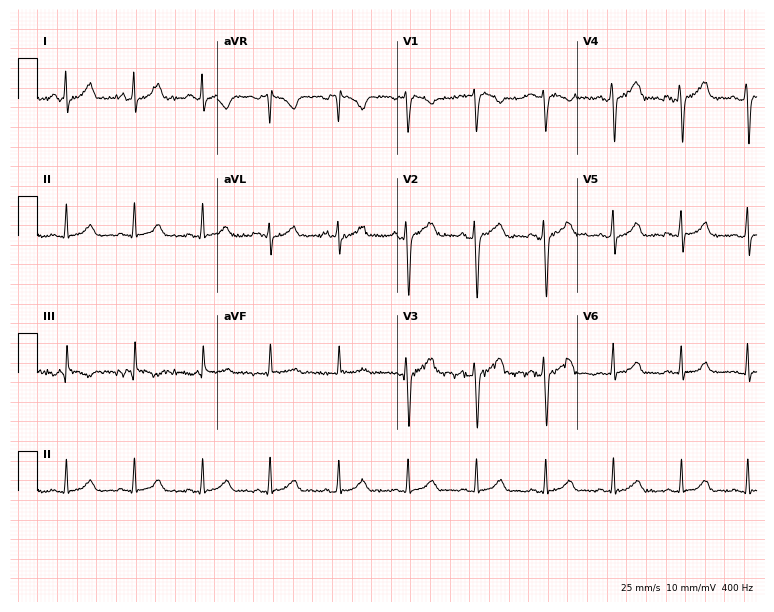
12-lead ECG (7.3-second recording at 400 Hz) from a 26-year-old female patient. Labelled as a normal ECG.